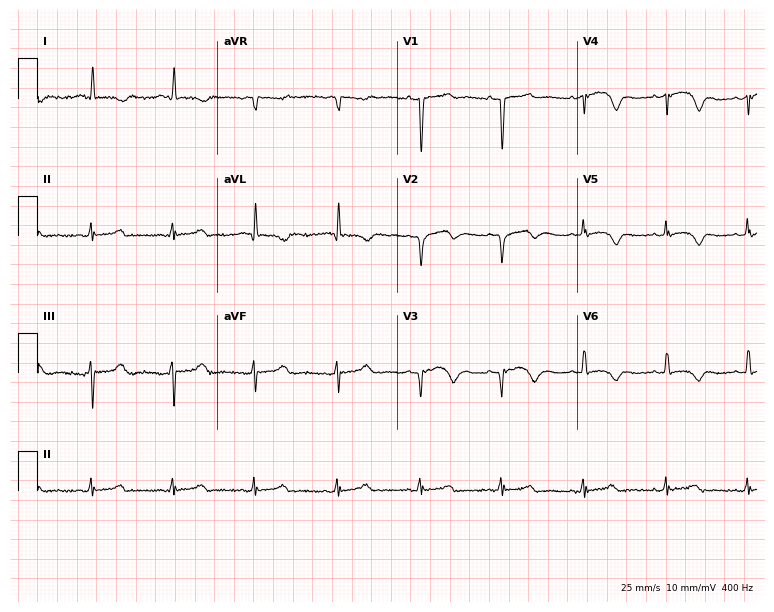
12-lead ECG from a woman, 79 years old. Screened for six findings — first-degree AV block, right bundle branch block, left bundle branch block, sinus bradycardia, atrial fibrillation, sinus tachycardia — none is recorded. Findings outside these six are not listed.